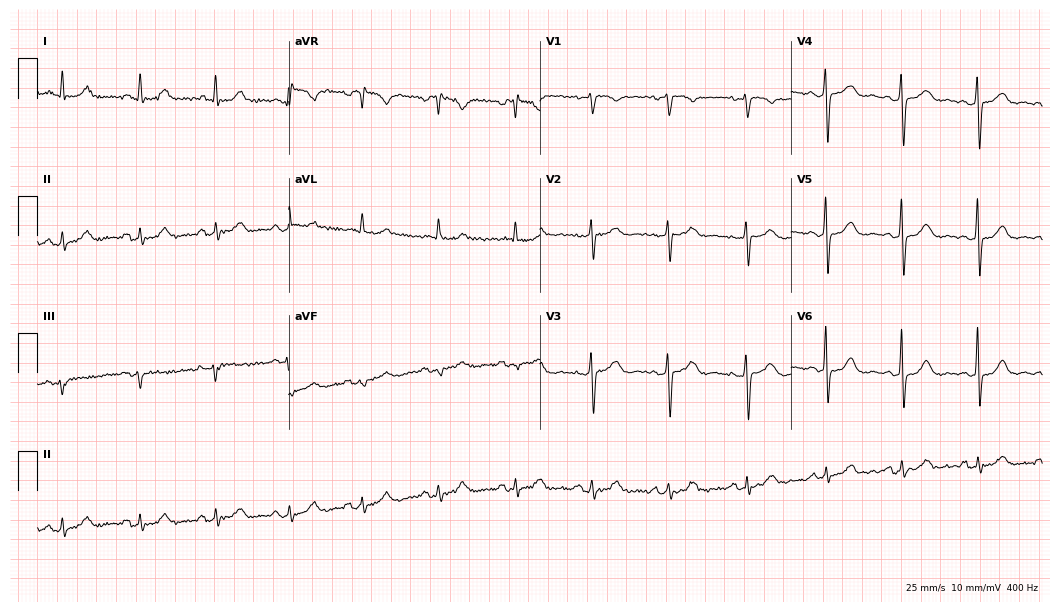
12-lead ECG from a 59-year-old woman (10.2-second recording at 400 Hz). Recorded interpretation: within normal limits.